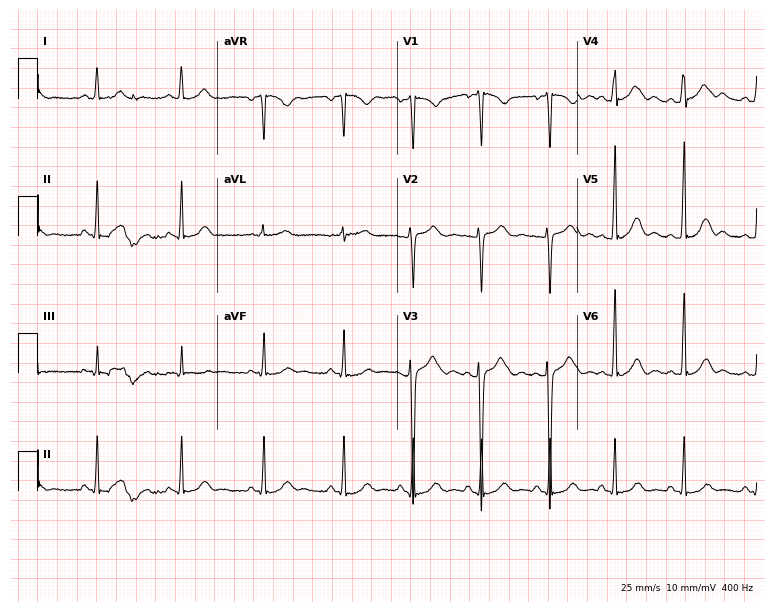
12-lead ECG from a 23-year-old female (7.3-second recording at 400 Hz). No first-degree AV block, right bundle branch block (RBBB), left bundle branch block (LBBB), sinus bradycardia, atrial fibrillation (AF) or sinus tachycardia recorded for this tracing.